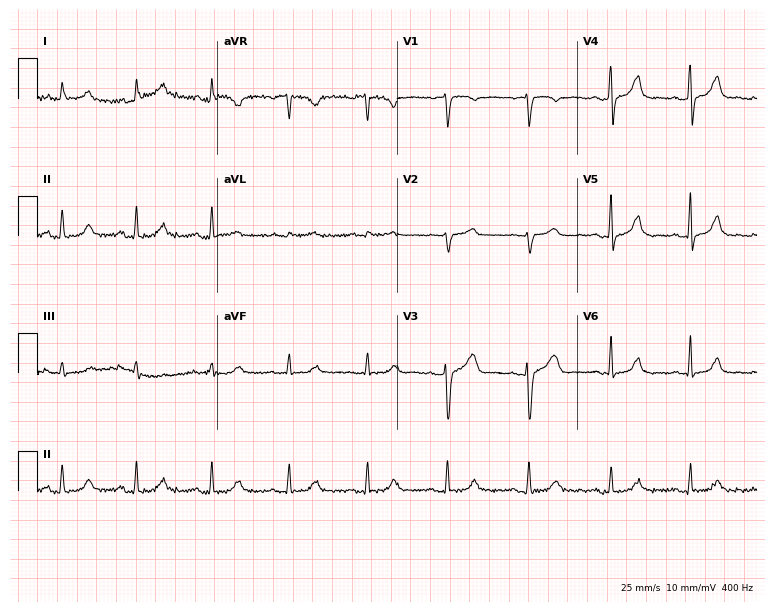
12-lead ECG from a 46-year-old female patient. Recorded interpretation: within normal limits.